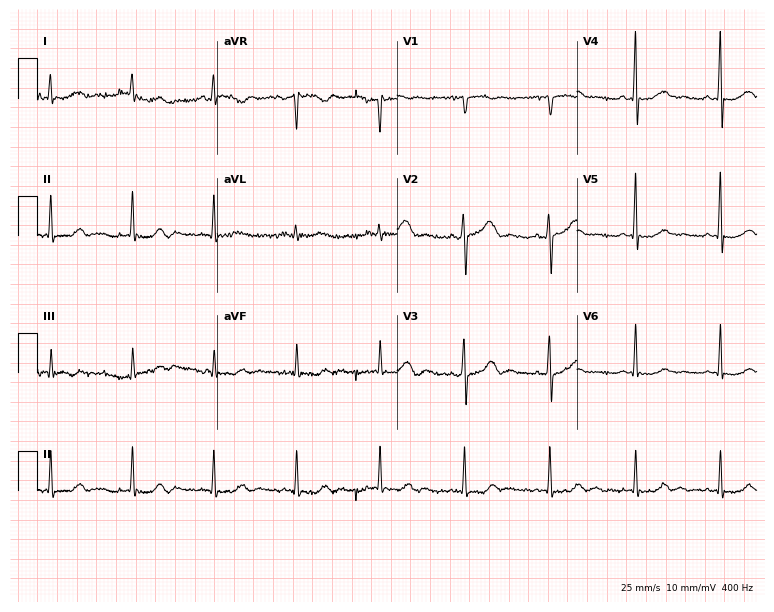
12-lead ECG from a female, 58 years old. Labelled as a normal ECG.